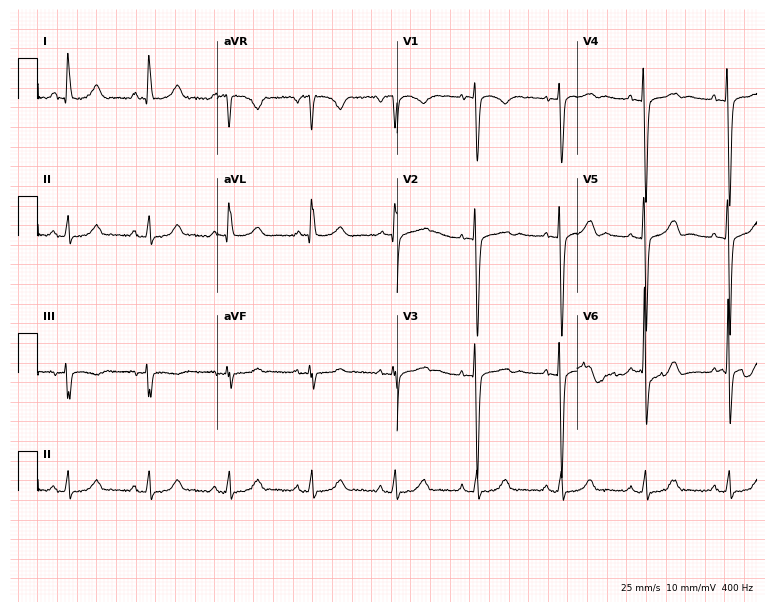
12-lead ECG from a 67-year-old female patient. Labelled as a normal ECG.